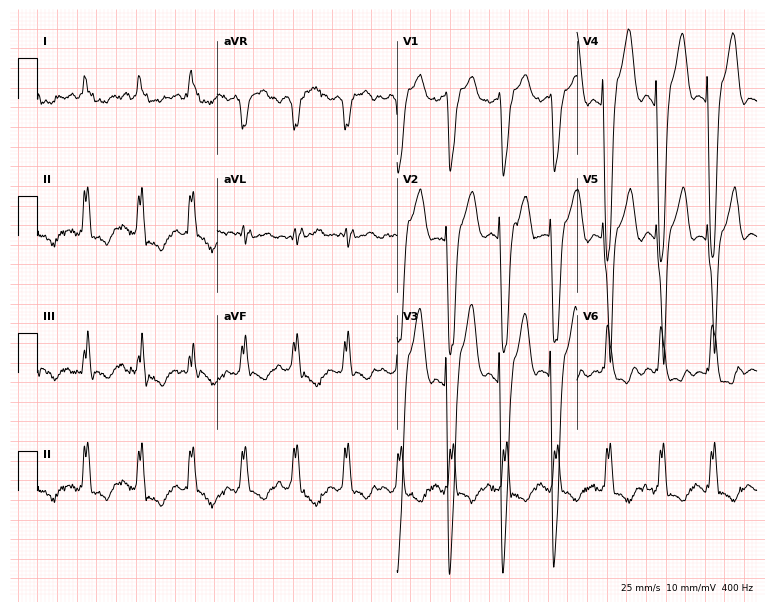
Resting 12-lead electrocardiogram (7.3-second recording at 400 Hz). Patient: a 70-year-old female. The tracing shows left bundle branch block (LBBB), sinus tachycardia (a sinus rate of 100 beats per minute or more).